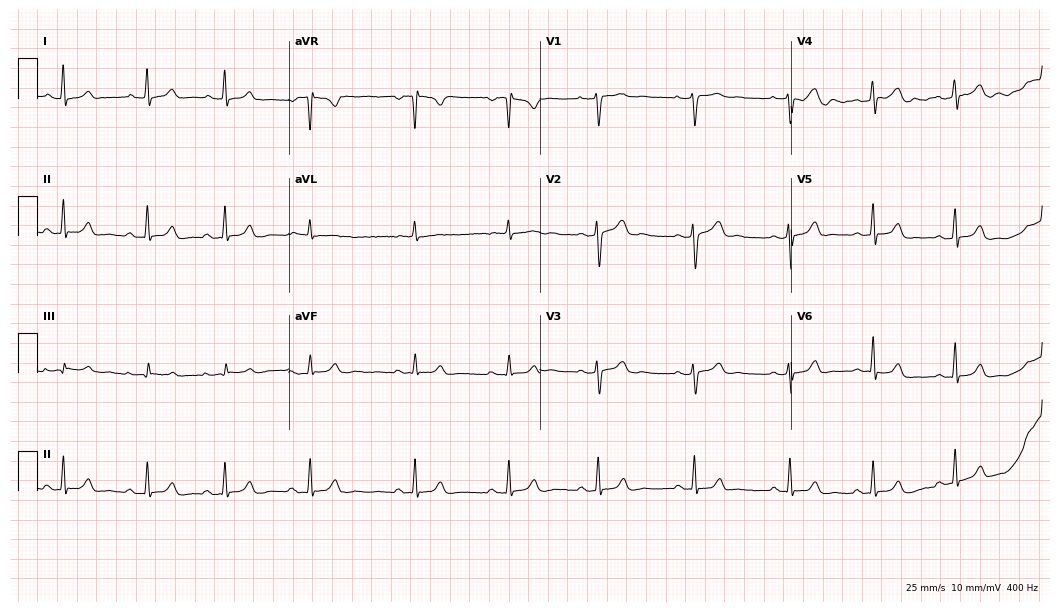
ECG — a woman, 17 years old. Labelled as a normal ECG.